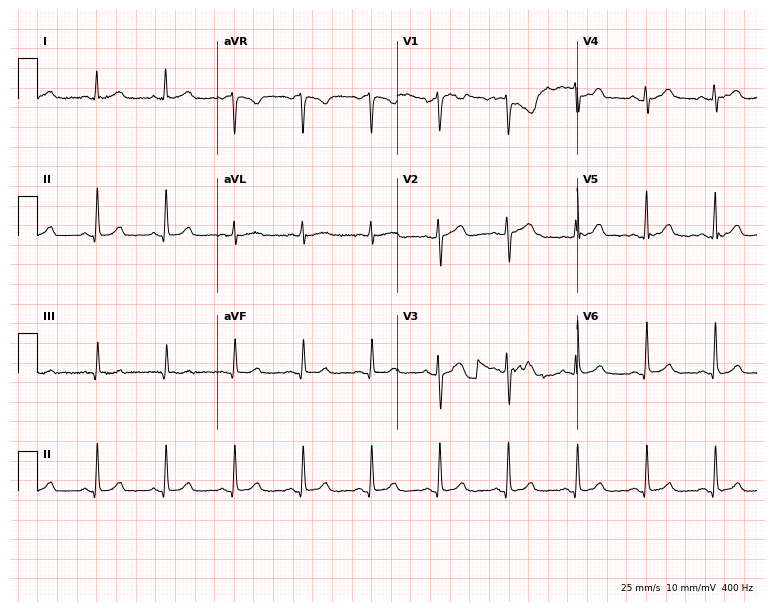
Electrocardiogram, a female, 58 years old. Of the six screened findings (first-degree AV block, right bundle branch block (RBBB), left bundle branch block (LBBB), sinus bradycardia, atrial fibrillation (AF), sinus tachycardia), none is recorded. Only these six findings were labelled.